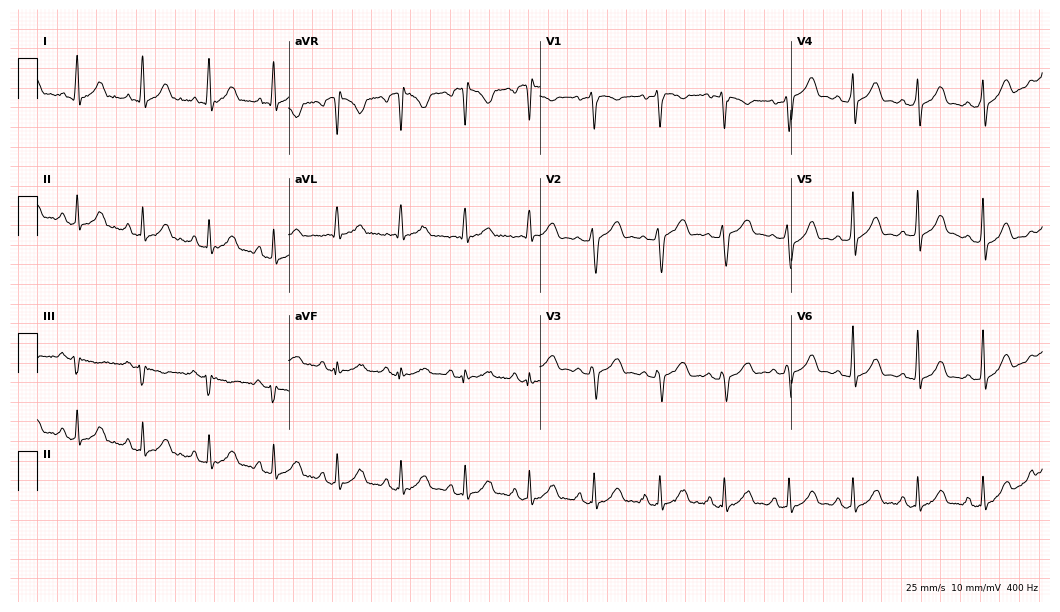
12-lead ECG from a female, 39 years old (10.2-second recording at 400 Hz). Recorded interpretation: within normal limits.